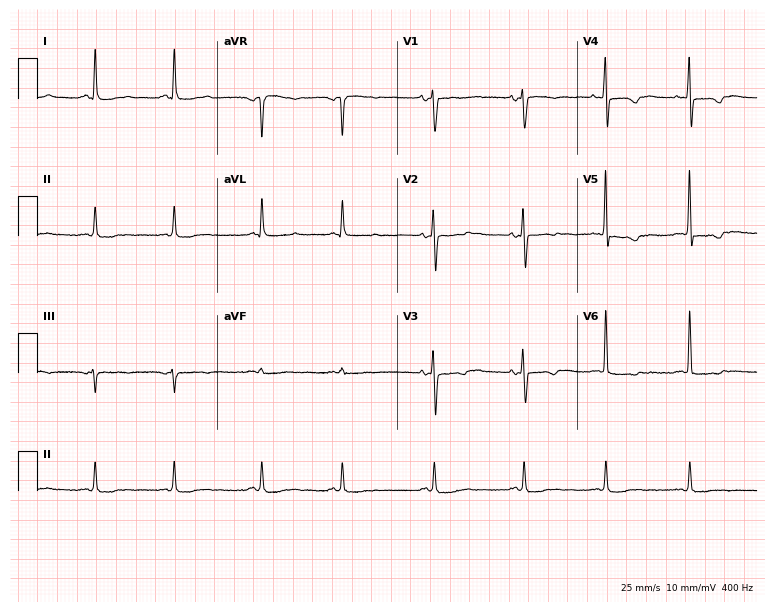
ECG — a 76-year-old female patient. Screened for six findings — first-degree AV block, right bundle branch block, left bundle branch block, sinus bradycardia, atrial fibrillation, sinus tachycardia — none is recorded. Other findings, if any, are not listed.